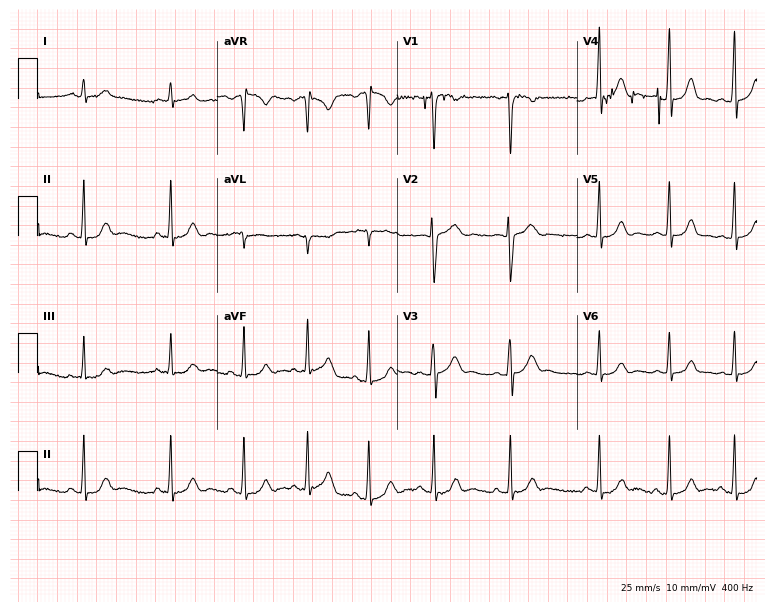
Resting 12-lead electrocardiogram (7.3-second recording at 400 Hz). Patient: a female, 17 years old. Read as a normal ECG.